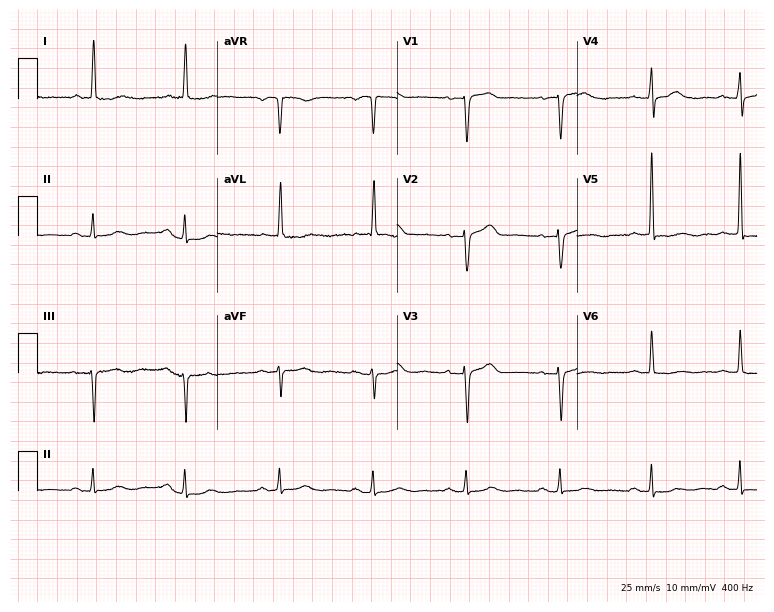
Electrocardiogram (7.3-second recording at 400 Hz), a woman, 82 years old. Overall reading on record: normal ECG.